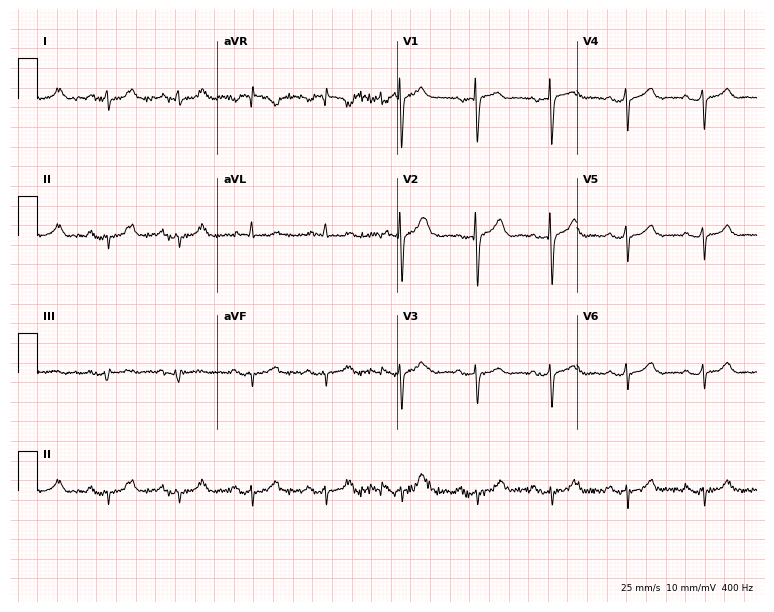
12-lead ECG from a woman, 80 years old. Screened for six findings — first-degree AV block, right bundle branch block, left bundle branch block, sinus bradycardia, atrial fibrillation, sinus tachycardia — none is recorded.